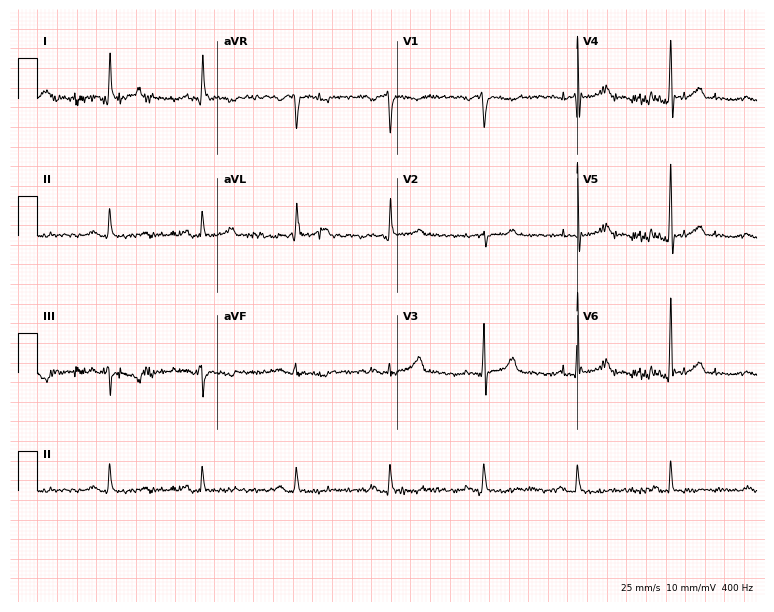
Resting 12-lead electrocardiogram. Patient: a male, 62 years old. None of these six findings is recorded: first-degree AV block, right bundle branch block, left bundle branch block, sinus bradycardia, atrial fibrillation, sinus tachycardia.